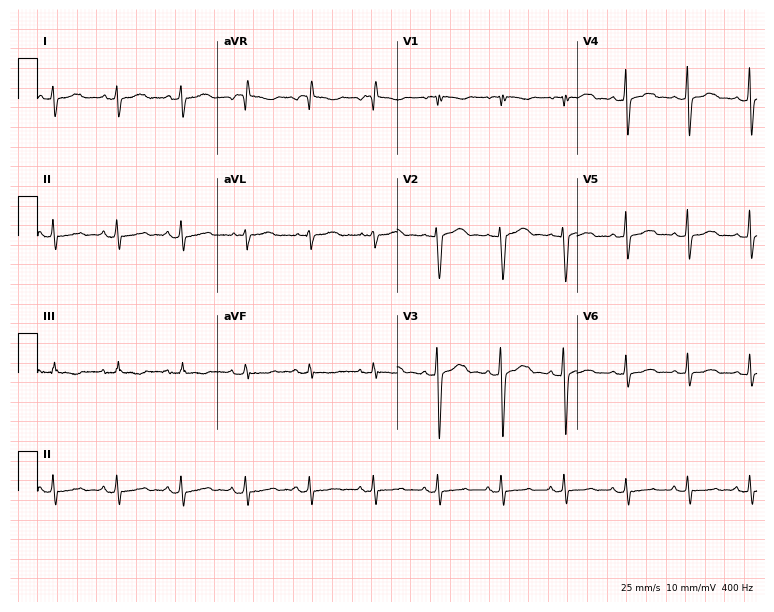
12-lead ECG from a 20-year-old female patient. Screened for six findings — first-degree AV block, right bundle branch block (RBBB), left bundle branch block (LBBB), sinus bradycardia, atrial fibrillation (AF), sinus tachycardia — none is recorded. Only these six findings were labelled.